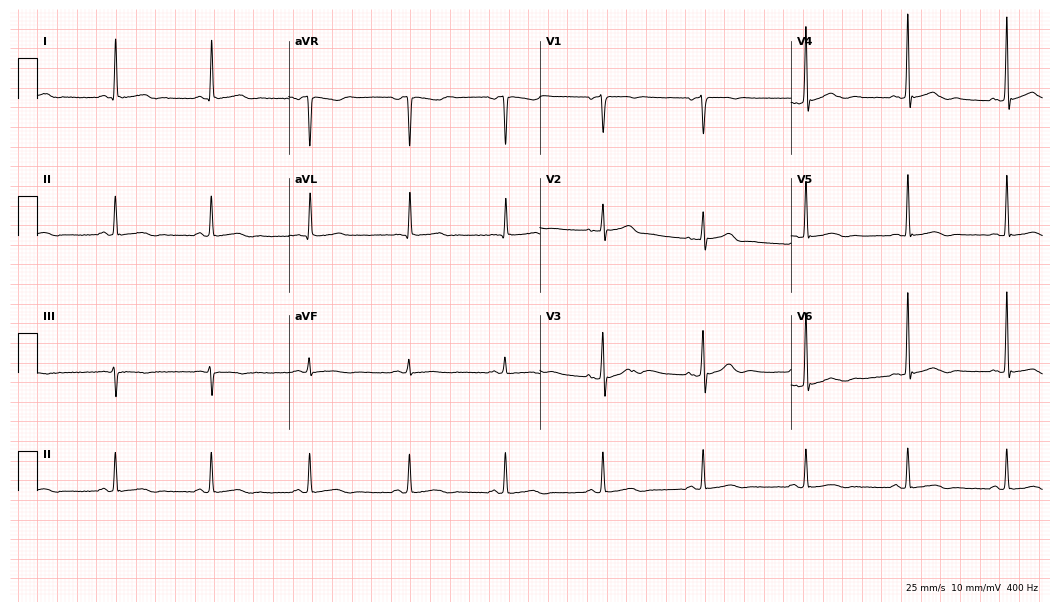
Standard 12-lead ECG recorded from a 72-year-old woman. None of these six findings is recorded: first-degree AV block, right bundle branch block (RBBB), left bundle branch block (LBBB), sinus bradycardia, atrial fibrillation (AF), sinus tachycardia.